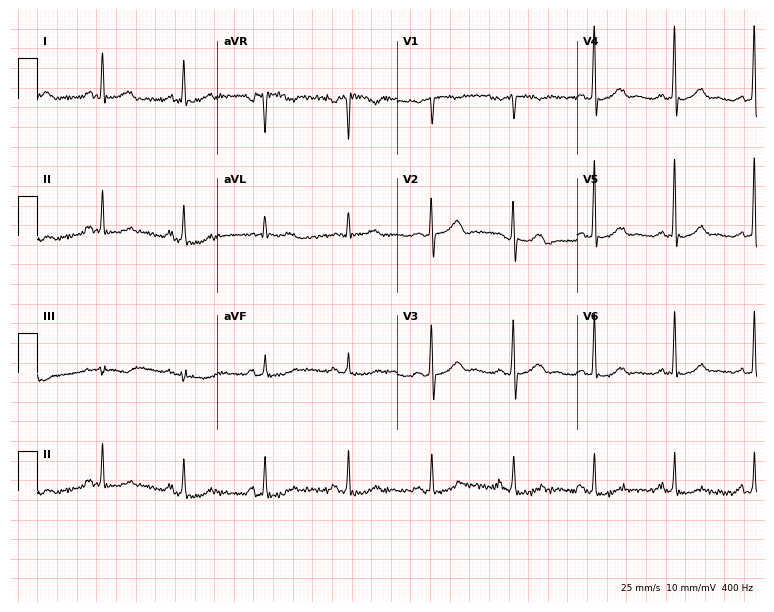
Resting 12-lead electrocardiogram (7.3-second recording at 400 Hz). Patient: a 51-year-old female. None of these six findings is recorded: first-degree AV block, right bundle branch block, left bundle branch block, sinus bradycardia, atrial fibrillation, sinus tachycardia.